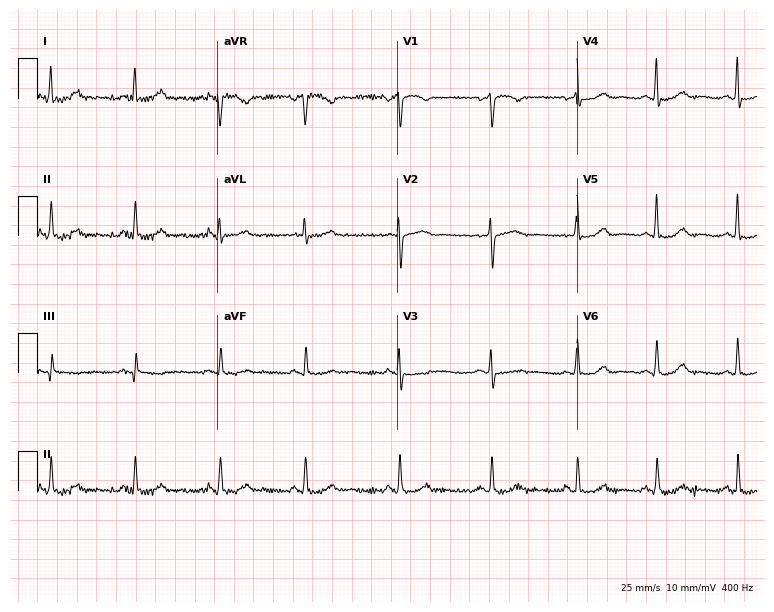
ECG (7.3-second recording at 400 Hz) — a 53-year-old female. Labelled as a normal ECG.